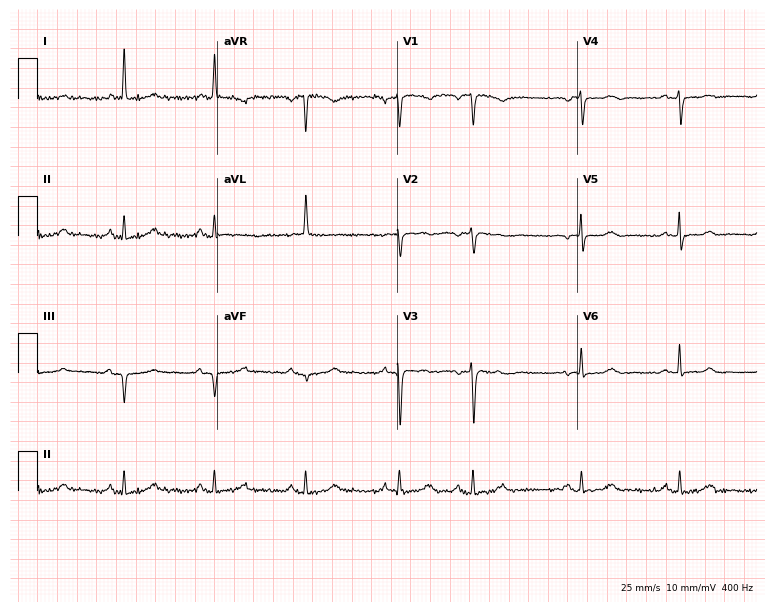
Resting 12-lead electrocardiogram (7.3-second recording at 400 Hz). Patient: a female, 86 years old. None of these six findings is recorded: first-degree AV block, right bundle branch block (RBBB), left bundle branch block (LBBB), sinus bradycardia, atrial fibrillation (AF), sinus tachycardia. Findings outside these six are not listed.